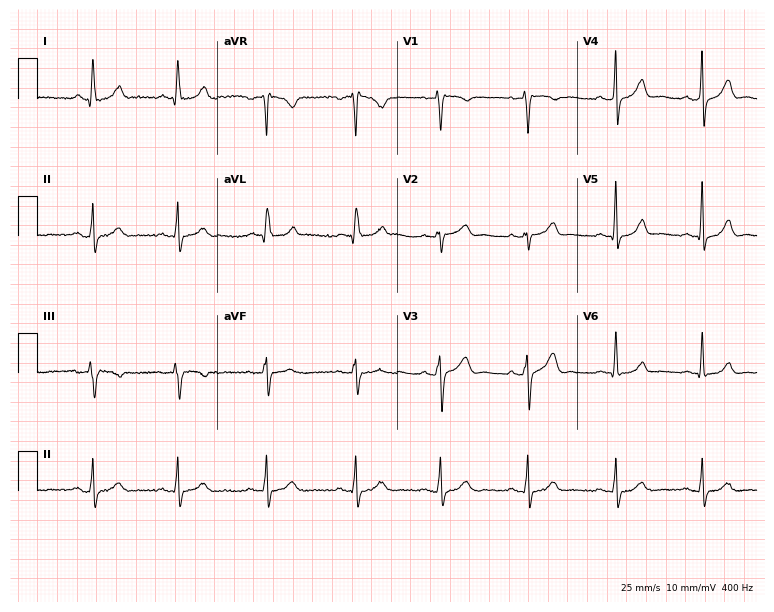
12-lead ECG from a man, 48 years old. No first-degree AV block, right bundle branch block (RBBB), left bundle branch block (LBBB), sinus bradycardia, atrial fibrillation (AF) or sinus tachycardia recorded for this tracing.